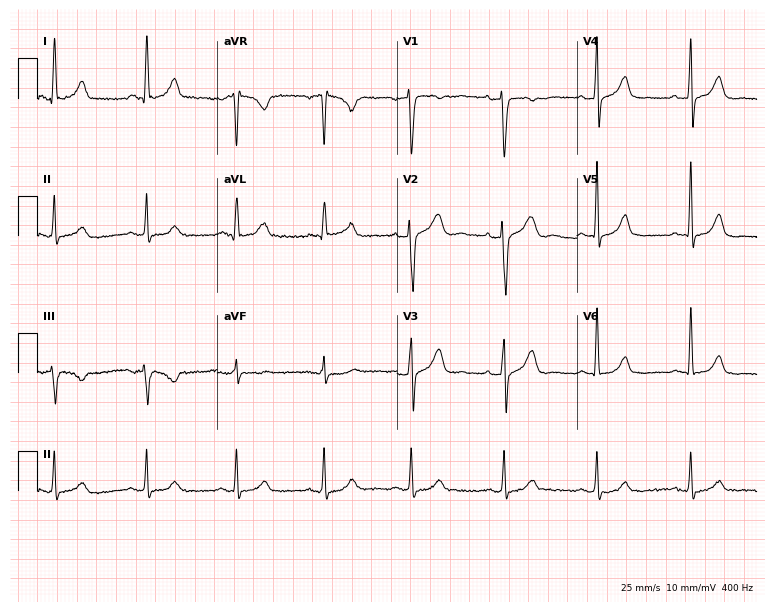
ECG — a woman, 56 years old. Screened for six findings — first-degree AV block, right bundle branch block (RBBB), left bundle branch block (LBBB), sinus bradycardia, atrial fibrillation (AF), sinus tachycardia — none is recorded.